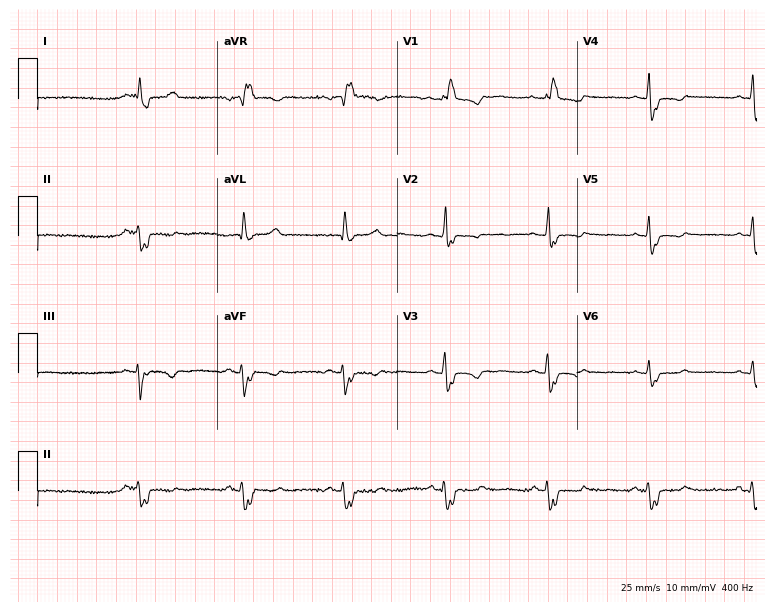
Standard 12-lead ECG recorded from a 49-year-old female. None of these six findings is recorded: first-degree AV block, right bundle branch block, left bundle branch block, sinus bradycardia, atrial fibrillation, sinus tachycardia.